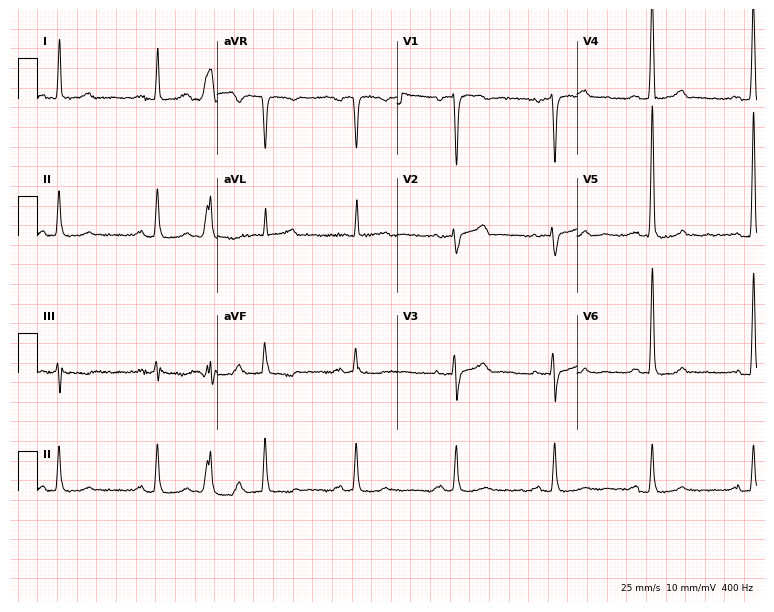
12-lead ECG (7.3-second recording at 400 Hz) from a woman, 77 years old. Screened for six findings — first-degree AV block, right bundle branch block, left bundle branch block, sinus bradycardia, atrial fibrillation, sinus tachycardia — none is recorded. Only these six findings were labelled.